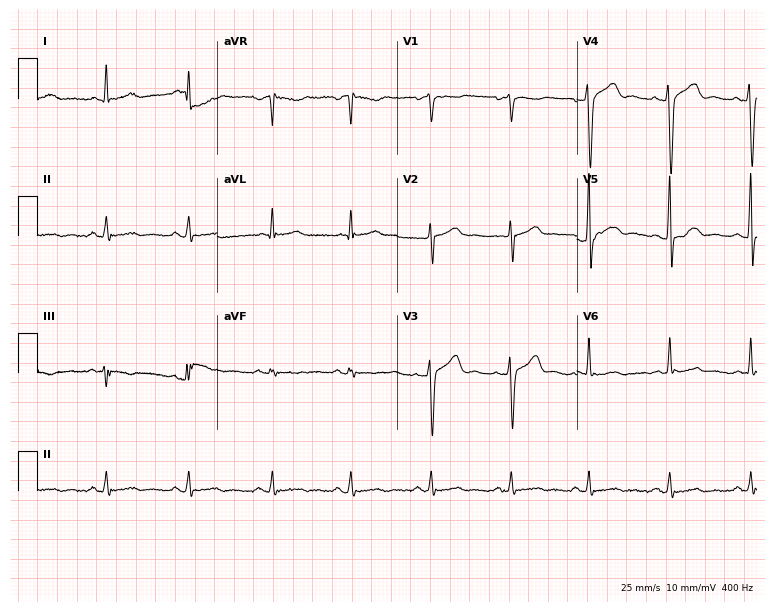
12-lead ECG from a man, 39 years old. Screened for six findings — first-degree AV block, right bundle branch block, left bundle branch block, sinus bradycardia, atrial fibrillation, sinus tachycardia — none is recorded. Findings outside these six are not listed.